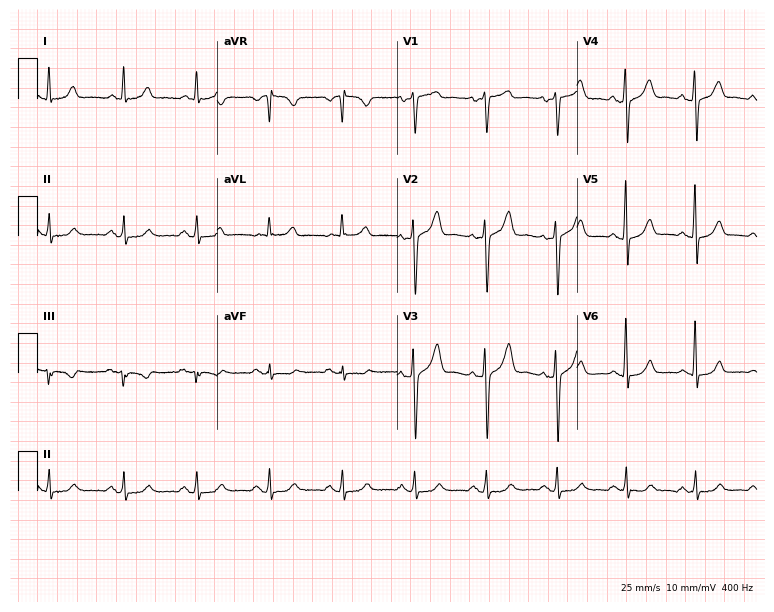
Resting 12-lead electrocardiogram (7.3-second recording at 400 Hz). Patient: a 65-year-old male. None of these six findings is recorded: first-degree AV block, right bundle branch block (RBBB), left bundle branch block (LBBB), sinus bradycardia, atrial fibrillation (AF), sinus tachycardia.